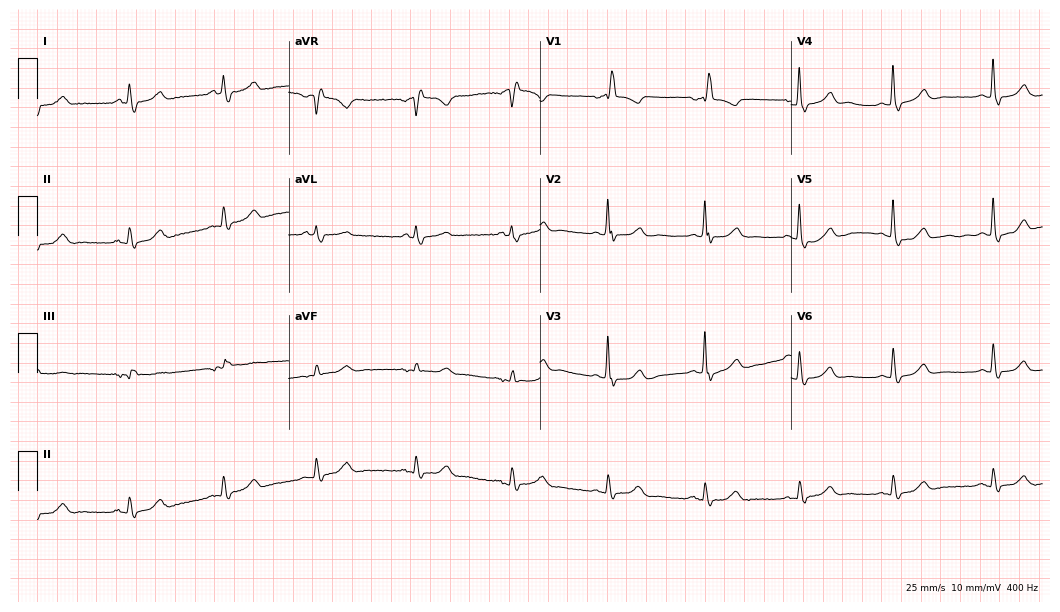
Electrocardiogram, a woman, 82 years old. Interpretation includes right bundle branch block (RBBB).